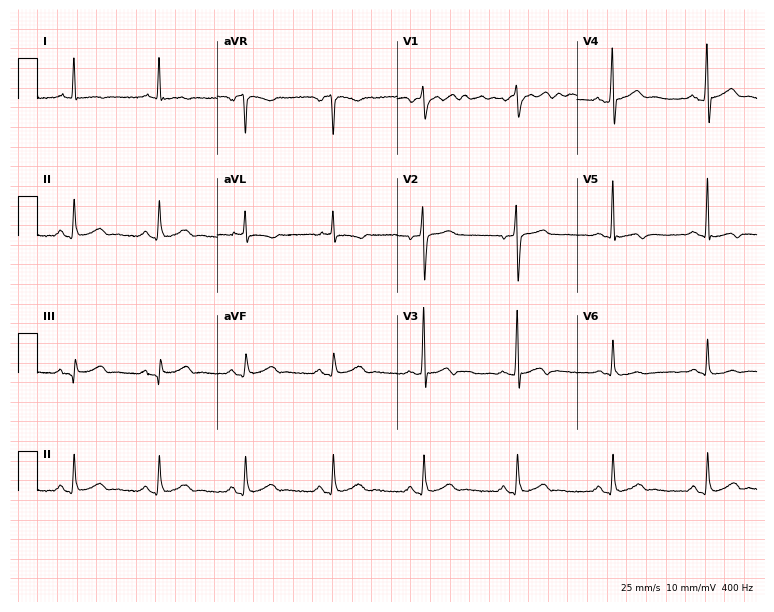
Standard 12-lead ECG recorded from a 56-year-old male. None of these six findings is recorded: first-degree AV block, right bundle branch block, left bundle branch block, sinus bradycardia, atrial fibrillation, sinus tachycardia. Findings outside these six are not listed.